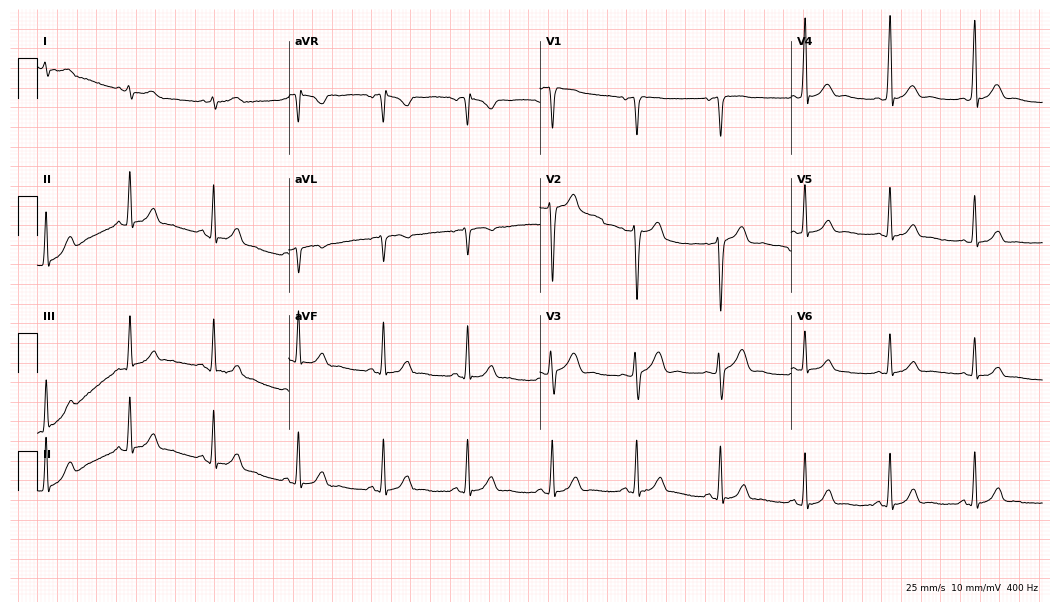
Resting 12-lead electrocardiogram. Patient: a 54-year-old man. None of these six findings is recorded: first-degree AV block, right bundle branch block, left bundle branch block, sinus bradycardia, atrial fibrillation, sinus tachycardia.